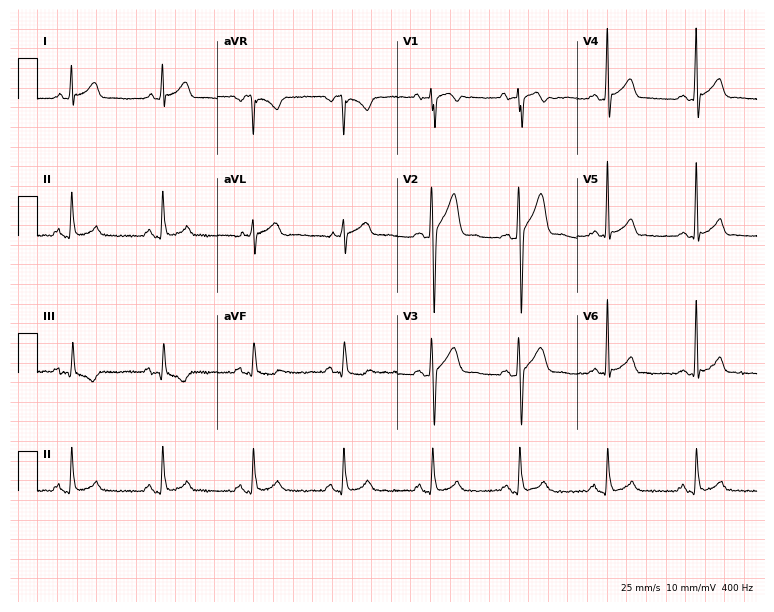
Standard 12-lead ECG recorded from a male patient, 29 years old (7.3-second recording at 400 Hz). None of these six findings is recorded: first-degree AV block, right bundle branch block (RBBB), left bundle branch block (LBBB), sinus bradycardia, atrial fibrillation (AF), sinus tachycardia.